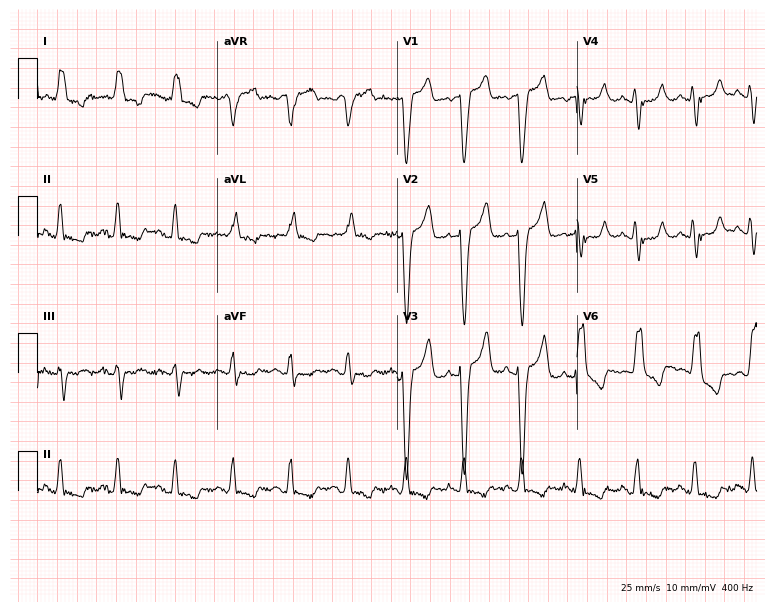
12-lead ECG (7.3-second recording at 400 Hz) from a male patient, 72 years old. Findings include left bundle branch block, sinus tachycardia (a sinus rate of 100 beats per minute or more).